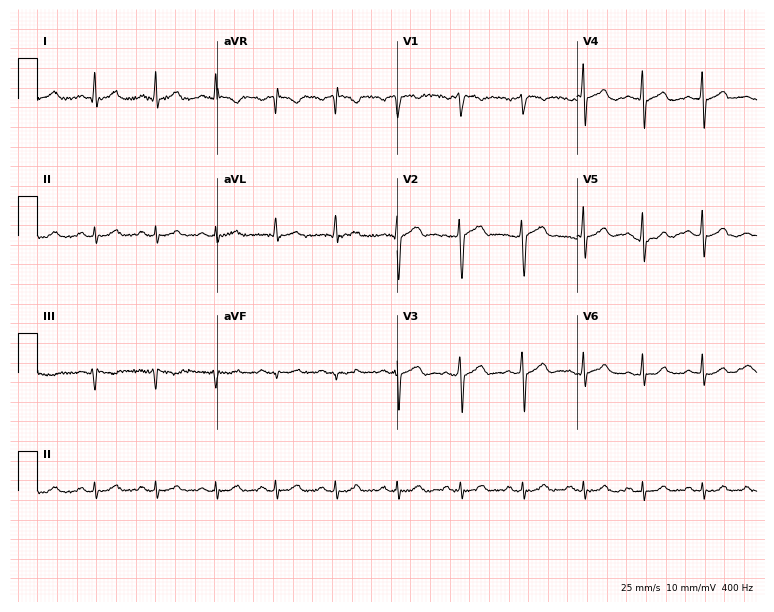
Electrocardiogram (7.3-second recording at 400 Hz), a 38-year-old man. Overall reading on record: normal ECG.